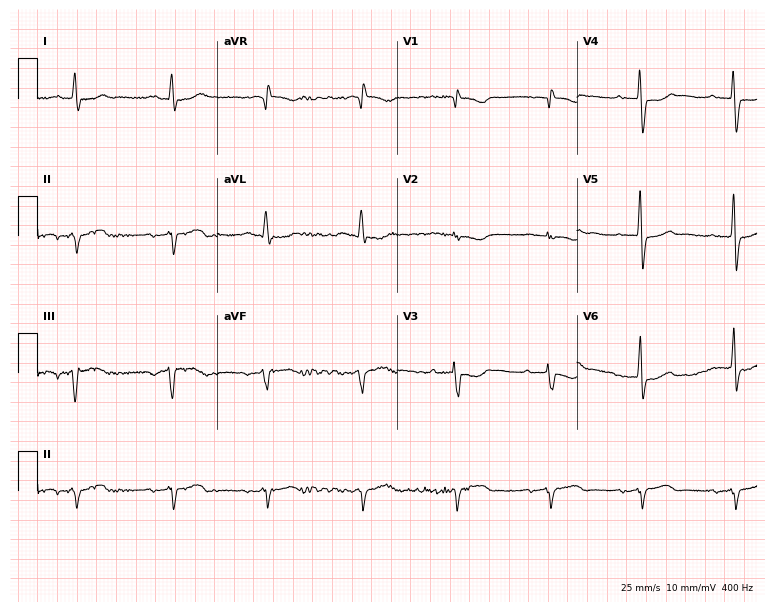
Standard 12-lead ECG recorded from a male, 69 years old. None of these six findings is recorded: first-degree AV block, right bundle branch block, left bundle branch block, sinus bradycardia, atrial fibrillation, sinus tachycardia. Other findings, if any, are not listed.